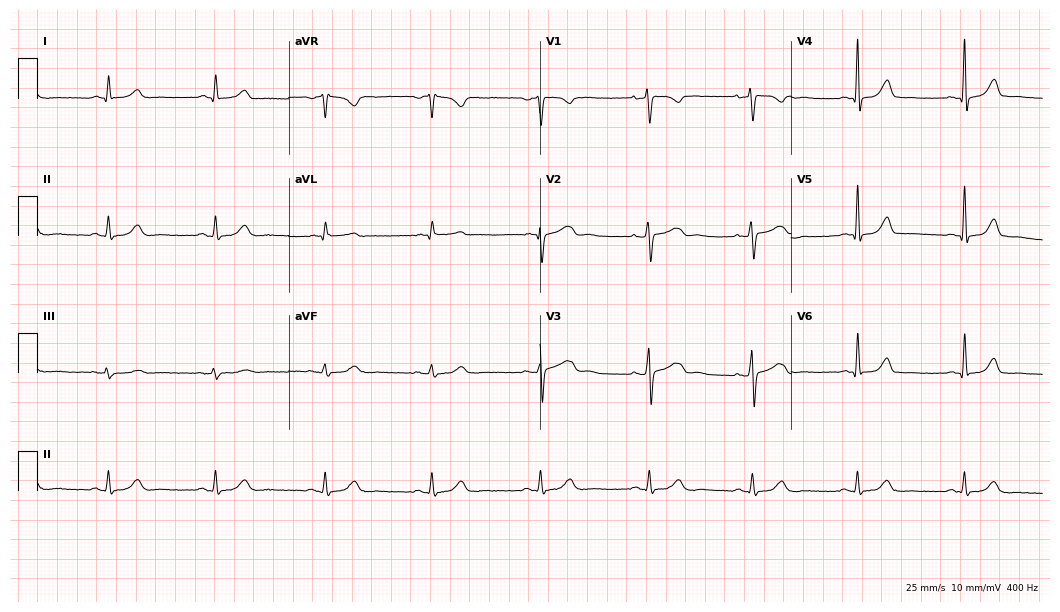
ECG (10.2-second recording at 400 Hz) — a female, 42 years old. Labelled as a normal ECG.